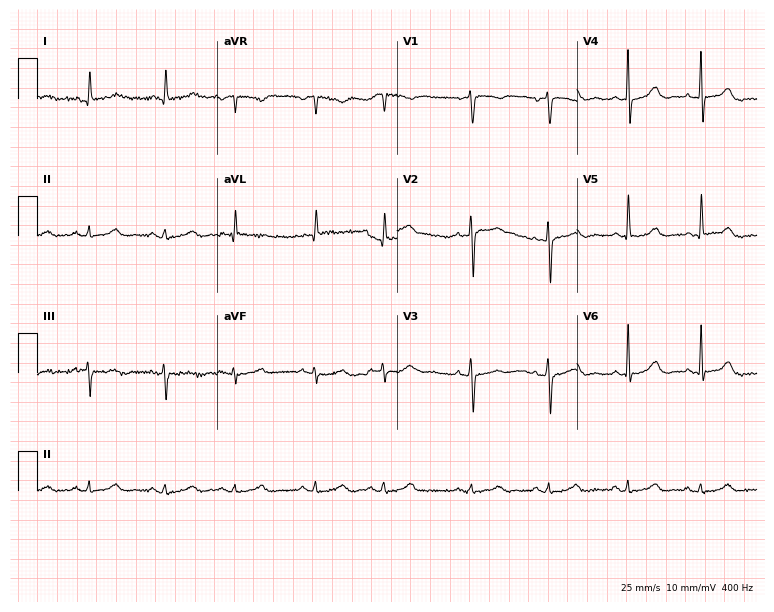
ECG — a 67-year-old woman. Screened for six findings — first-degree AV block, right bundle branch block, left bundle branch block, sinus bradycardia, atrial fibrillation, sinus tachycardia — none is recorded.